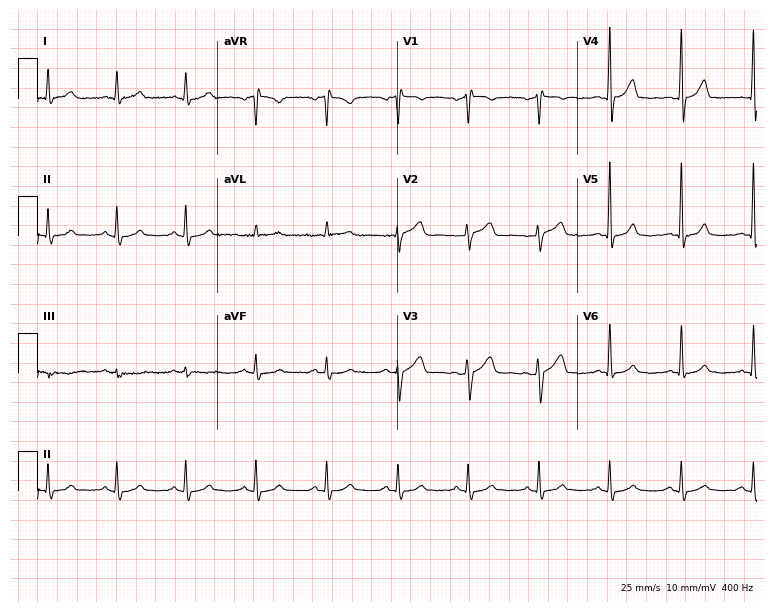
Electrocardiogram (7.3-second recording at 400 Hz), a male, 55 years old. Overall reading on record: normal ECG.